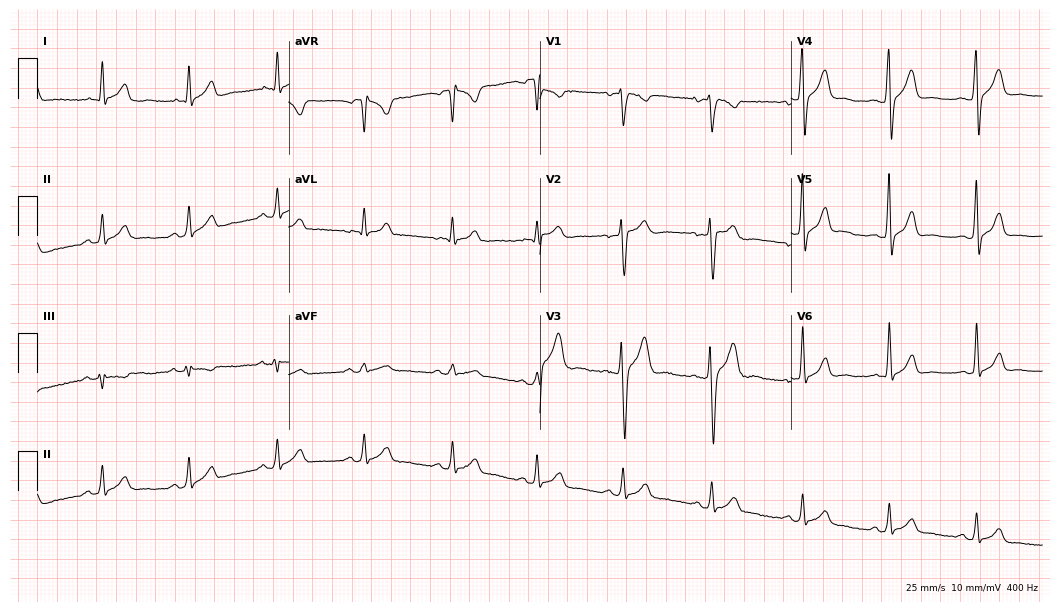
Electrocardiogram (10.2-second recording at 400 Hz), a 30-year-old male. Overall reading on record: normal ECG.